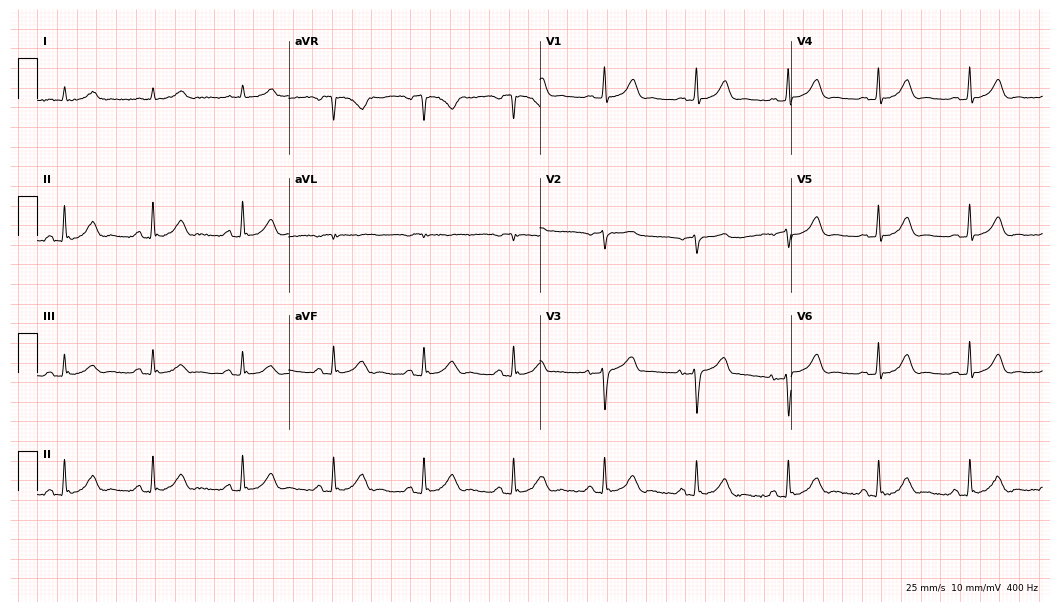
ECG — a 79-year-old man. Labelled as a normal ECG.